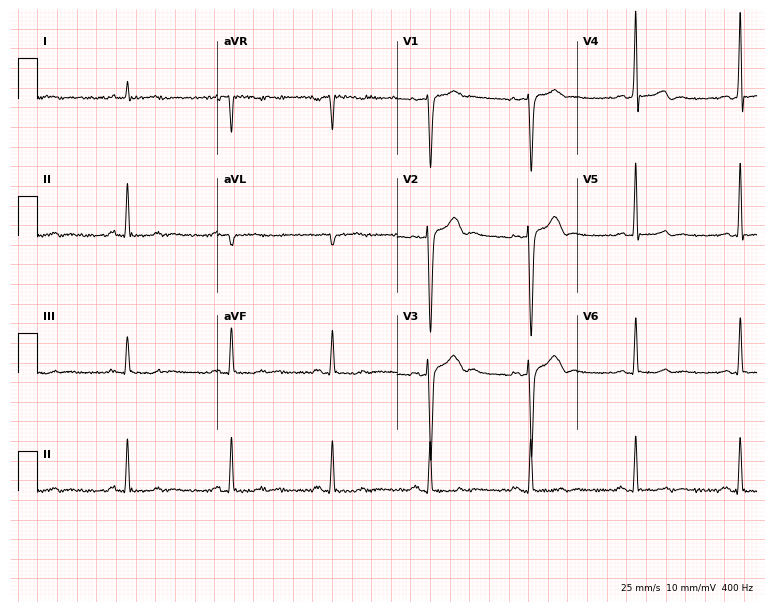
Electrocardiogram, a male, 47 years old. Of the six screened findings (first-degree AV block, right bundle branch block, left bundle branch block, sinus bradycardia, atrial fibrillation, sinus tachycardia), none is recorded.